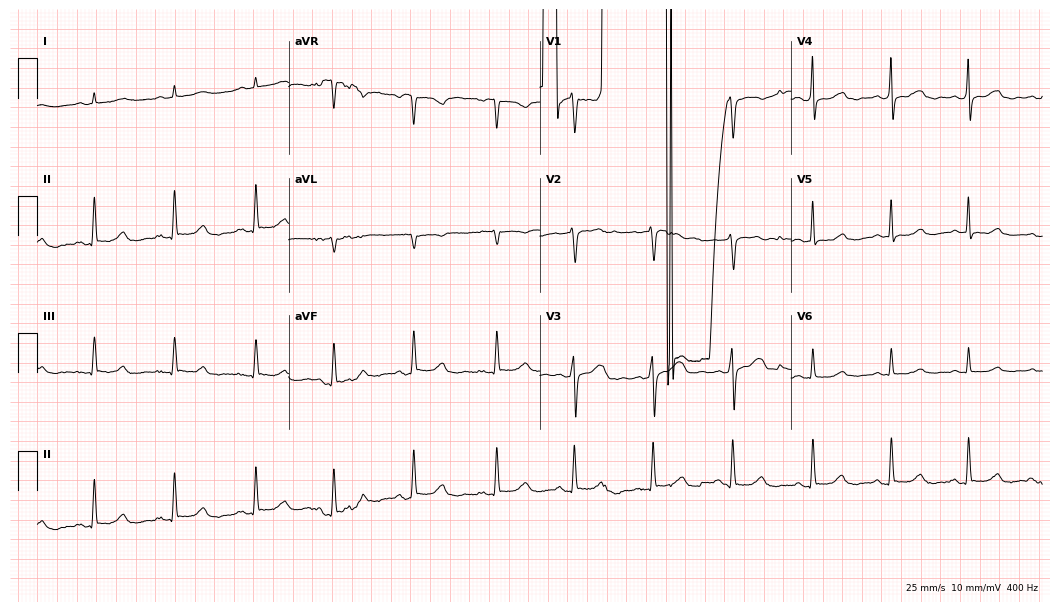
12-lead ECG (10.2-second recording at 400 Hz) from a female, 48 years old. Screened for six findings — first-degree AV block, right bundle branch block (RBBB), left bundle branch block (LBBB), sinus bradycardia, atrial fibrillation (AF), sinus tachycardia — none is recorded.